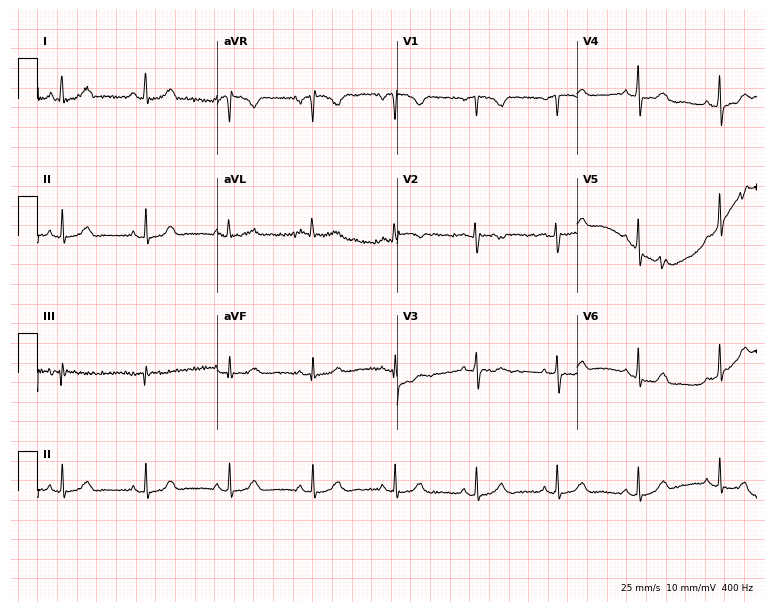
12-lead ECG (7.3-second recording at 400 Hz) from a woman, 52 years old. Labelled as a normal ECG.